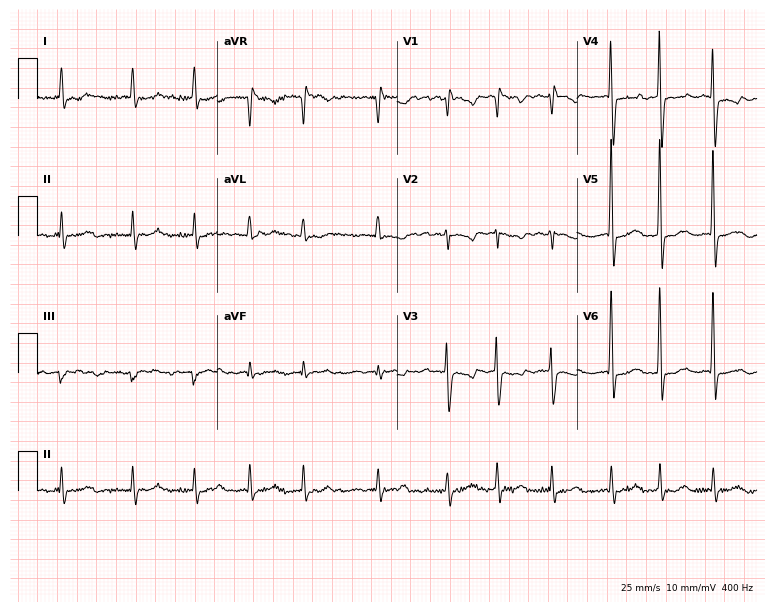
12-lead ECG (7.3-second recording at 400 Hz) from a 76-year-old female patient. Findings include atrial fibrillation (AF).